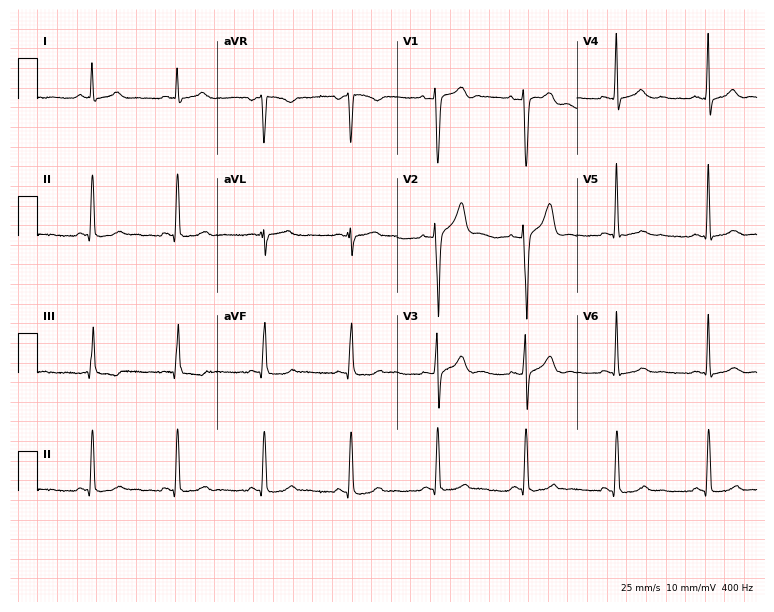
12-lead ECG from a male patient, 50 years old (7.3-second recording at 400 Hz). No first-degree AV block, right bundle branch block, left bundle branch block, sinus bradycardia, atrial fibrillation or sinus tachycardia recorded for this tracing.